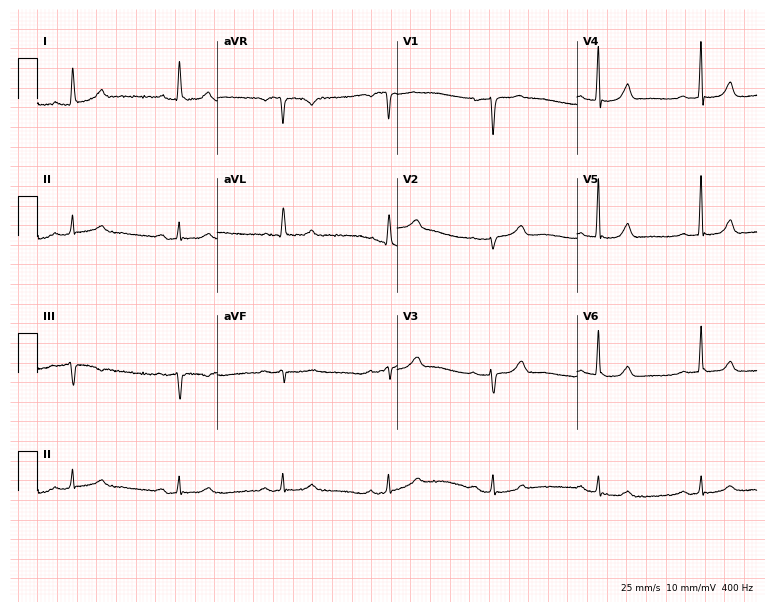
Resting 12-lead electrocardiogram. Patient: a female, 77 years old. Read as a normal ECG.